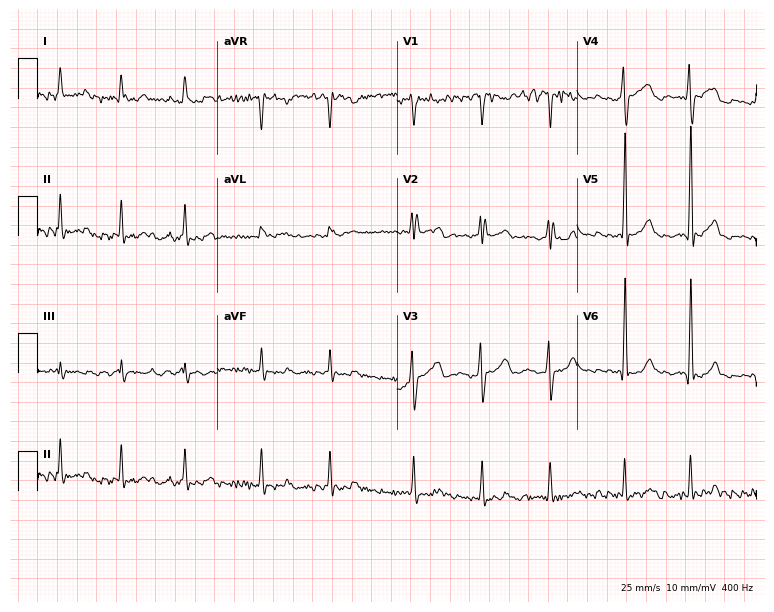
Electrocardiogram, a 25-year-old female patient. Of the six screened findings (first-degree AV block, right bundle branch block, left bundle branch block, sinus bradycardia, atrial fibrillation, sinus tachycardia), none is recorded.